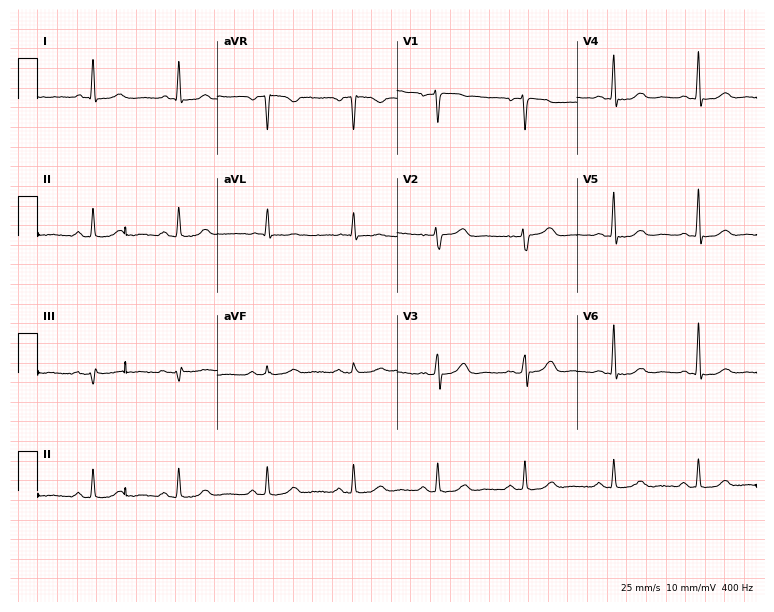
Standard 12-lead ECG recorded from a woman, 53 years old (7.3-second recording at 400 Hz). None of these six findings is recorded: first-degree AV block, right bundle branch block, left bundle branch block, sinus bradycardia, atrial fibrillation, sinus tachycardia. Findings outside these six are not listed.